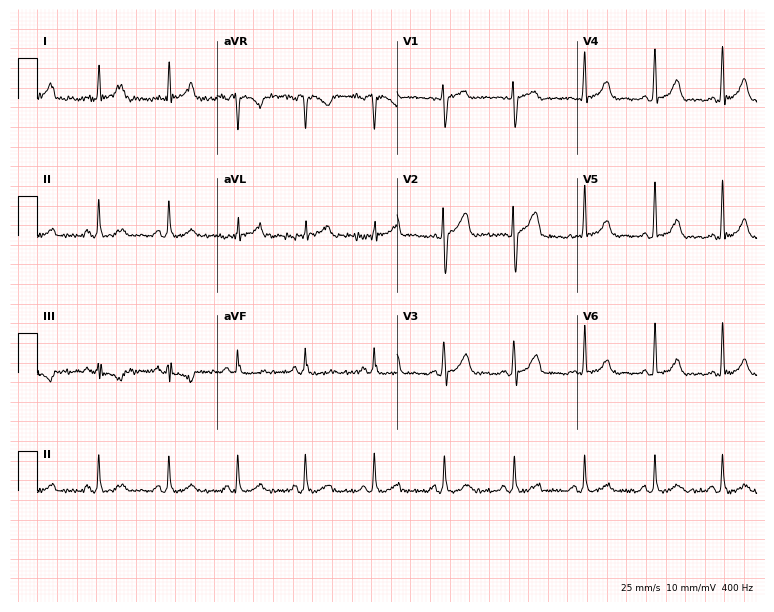
Electrocardiogram, a woman, 45 years old. Overall reading on record: normal ECG.